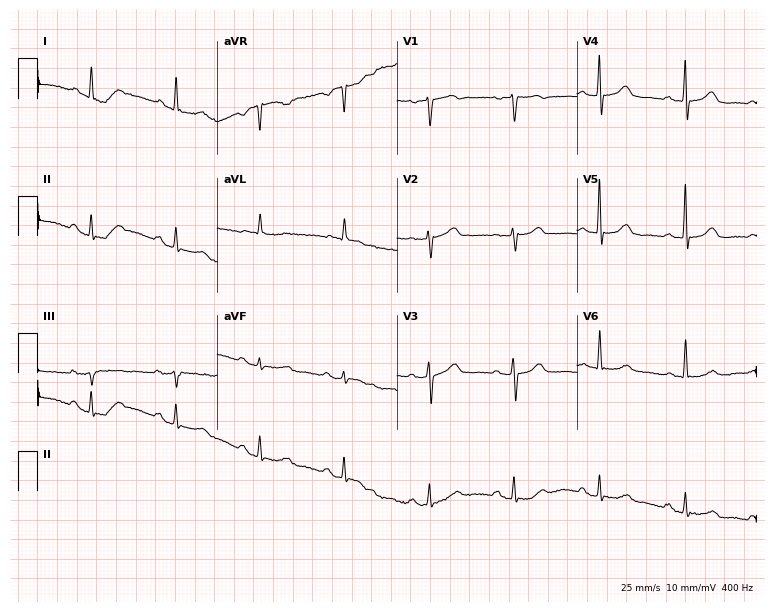
Resting 12-lead electrocardiogram. Patient: a female, 74 years old. None of these six findings is recorded: first-degree AV block, right bundle branch block, left bundle branch block, sinus bradycardia, atrial fibrillation, sinus tachycardia. Only these six findings were labelled.